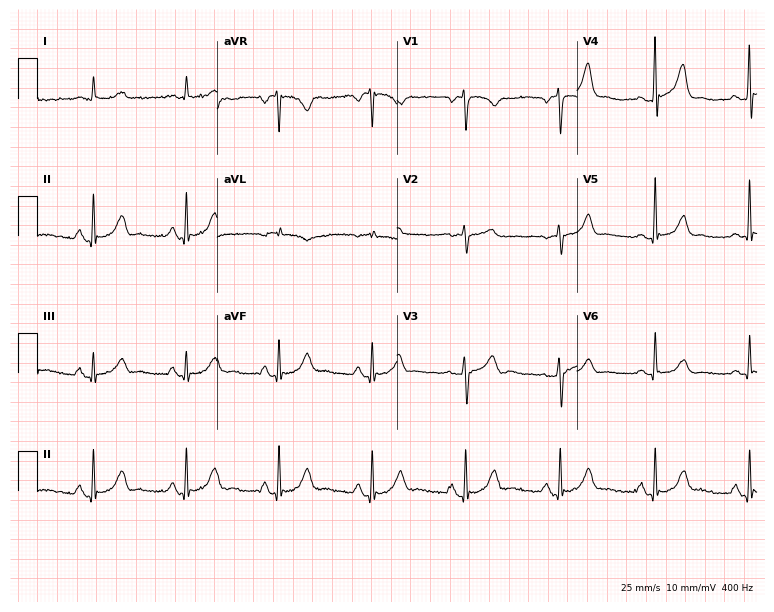
Electrocardiogram (7.3-second recording at 400 Hz), a 59-year-old man. Overall reading on record: normal ECG.